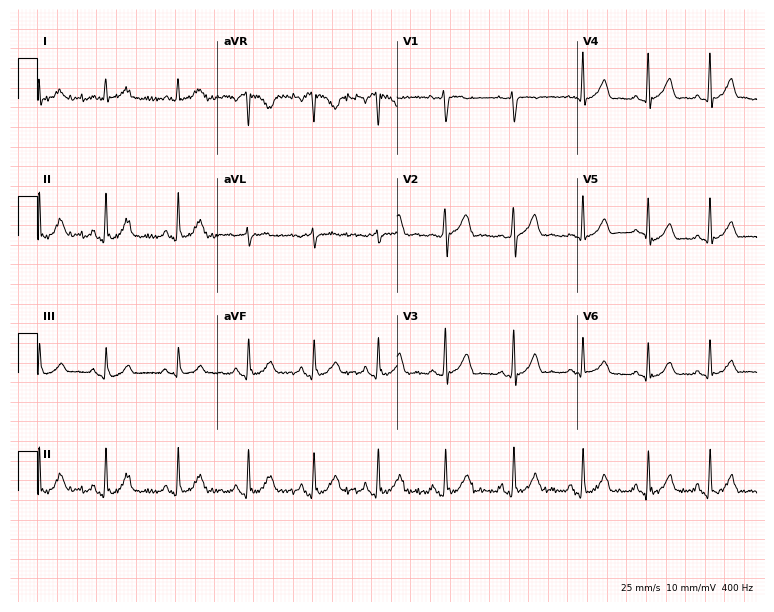
12-lead ECG from a 21-year-old male. Labelled as a normal ECG.